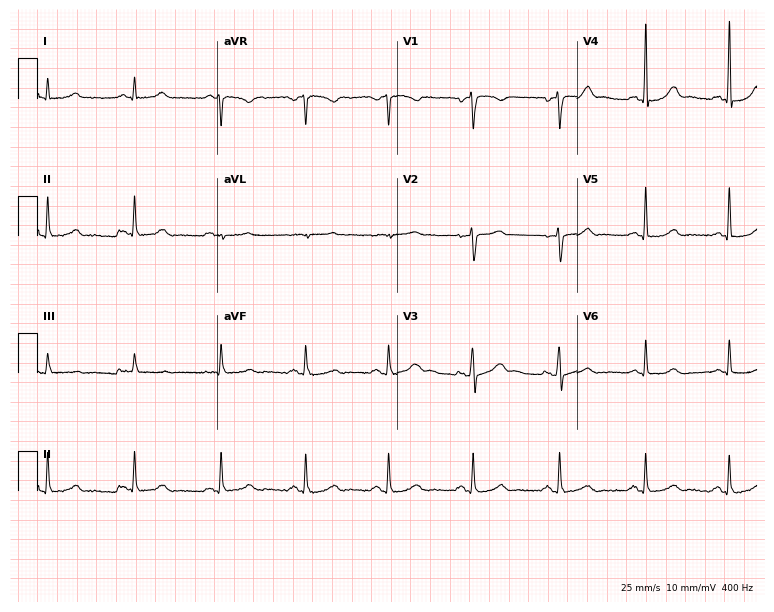
12-lead ECG (7.3-second recording at 400 Hz) from a male patient, 49 years old. Labelled as a normal ECG.